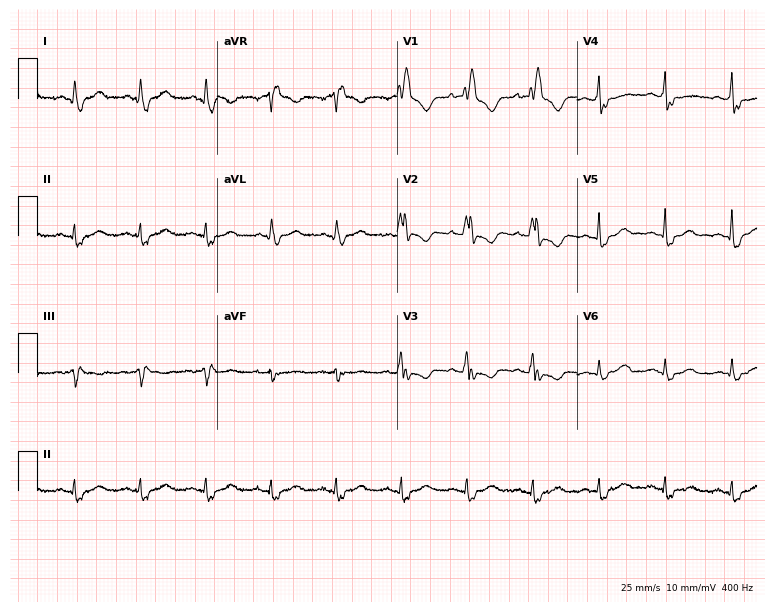
12-lead ECG from a 60-year-old female (7.3-second recording at 400 Hz). Shows right bundle branch block.